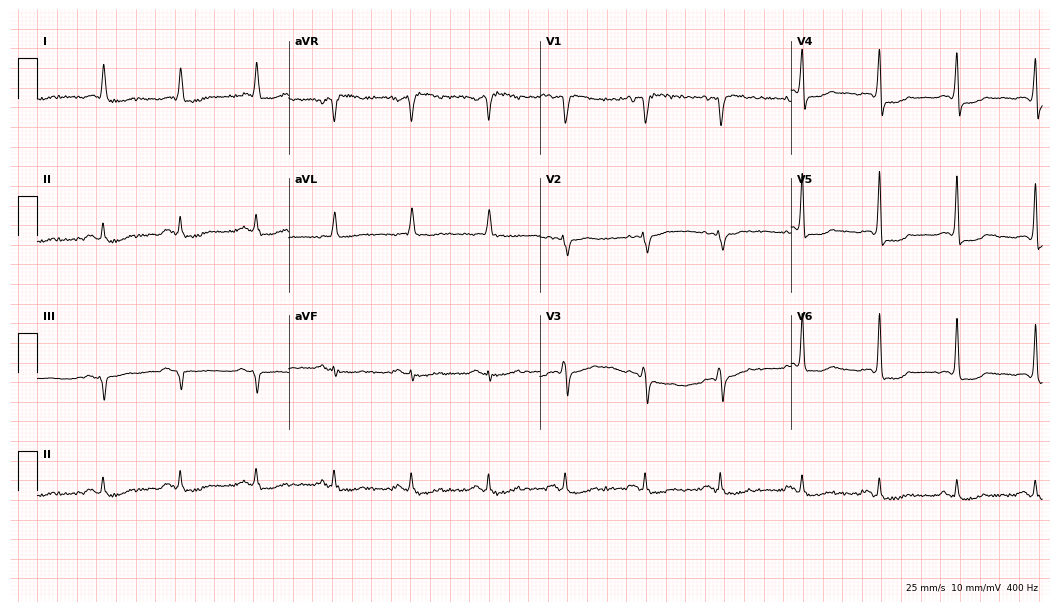
12-lead ECG from a female, 71 years old. Screened for six findings — first-degree AV block, right bundle branch block, left bundle branch block, sinus bradycardia, atrial fibrillation, sinus tachycardia — none is recorded. Only these six findings were labelled.